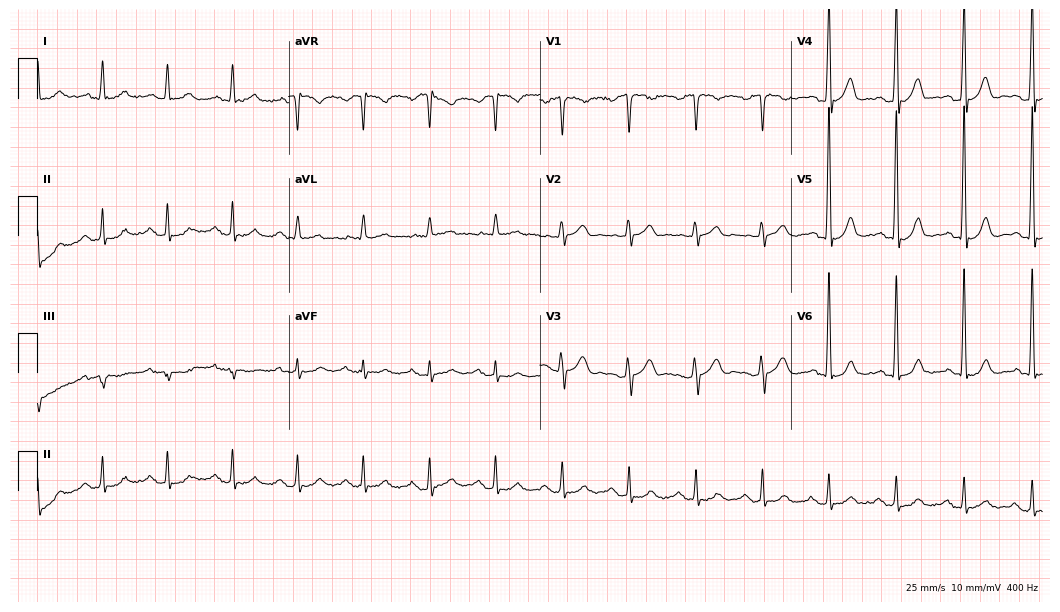
Standard 12-lead ECG recorded from a male, 75 years old (10.2-second recording at 400 Hz). None of these six findings is recorded: first-degree AV block, right bundle branch block, left bundle branch block, sinus bradycardia, atrial fibrillation, sinus tachycardia.